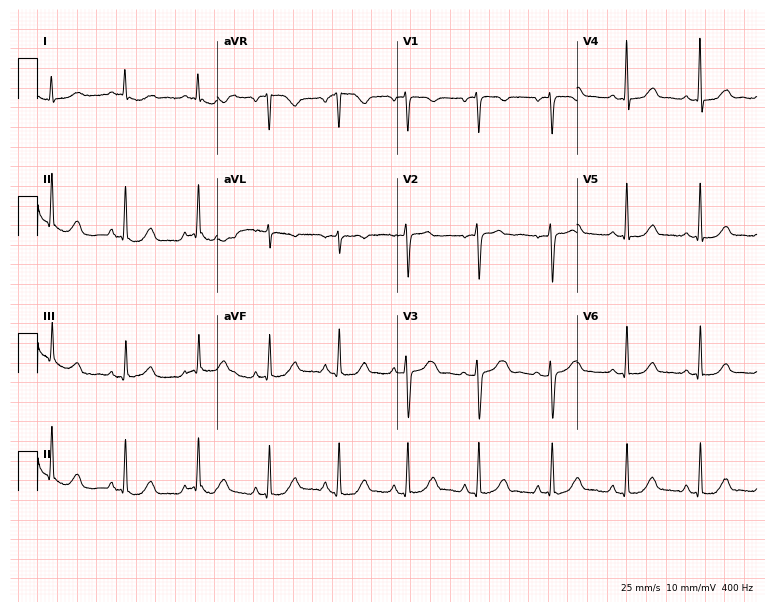
Standard 12-lead ECG recorded from a female, 45 years old (7.3-second recording at 400 Hz). Read as a normal ECG.